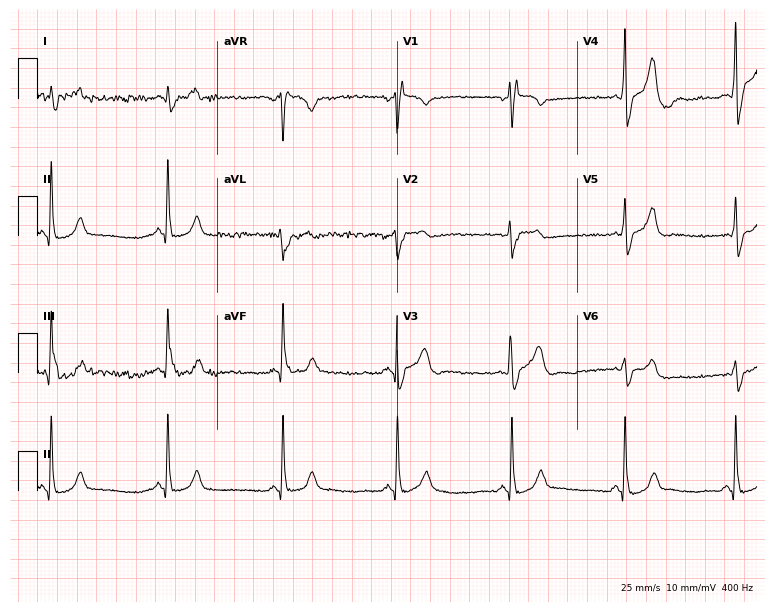
Resting 12-lead electrocardiogram. Patient: a 55-year-old male. None of these six findings is recorded: first-degree AV block, right bundle branch block, left bundle branch block, sinus bradycardia, atrial fibrillation, sinus tachycardia.